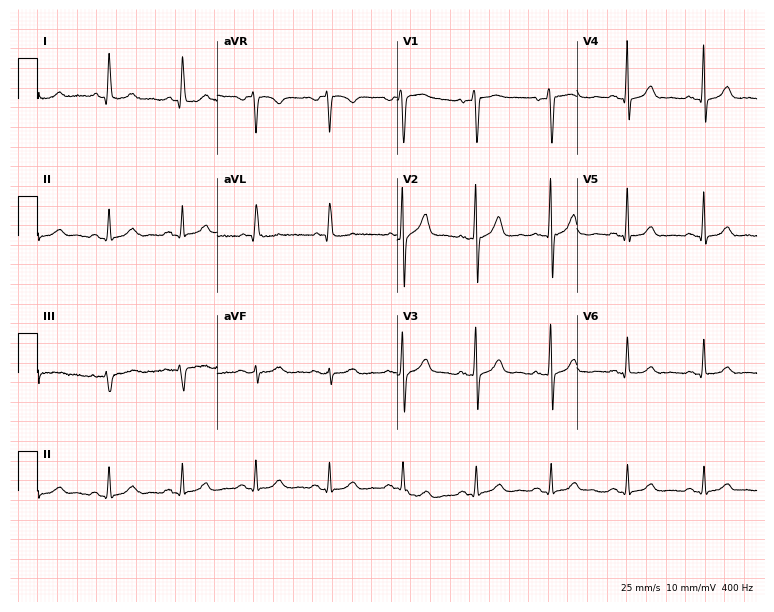
Electrocardiogram, a 66-year-old male patient. Of the six screened findings (first-degree AV block, right bundle branch block, left bundle branch block, sinus bradycardia, atrial fibrillation, sinus tachycardia), none is recorded. Other findings, if any, are not listed.